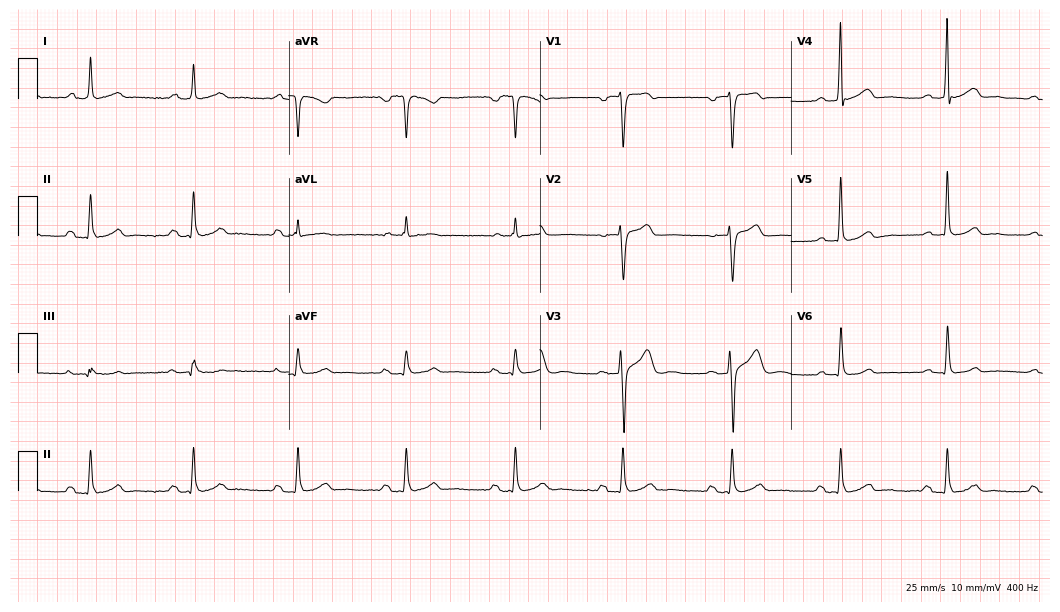
12-lead ECG from a 44-year-old male. No first-degree AV block, right bundle branch block, left bundle branch block, sinus bradycardia, atrial fibrillation or sinus tachycardia recorded for this tracing.